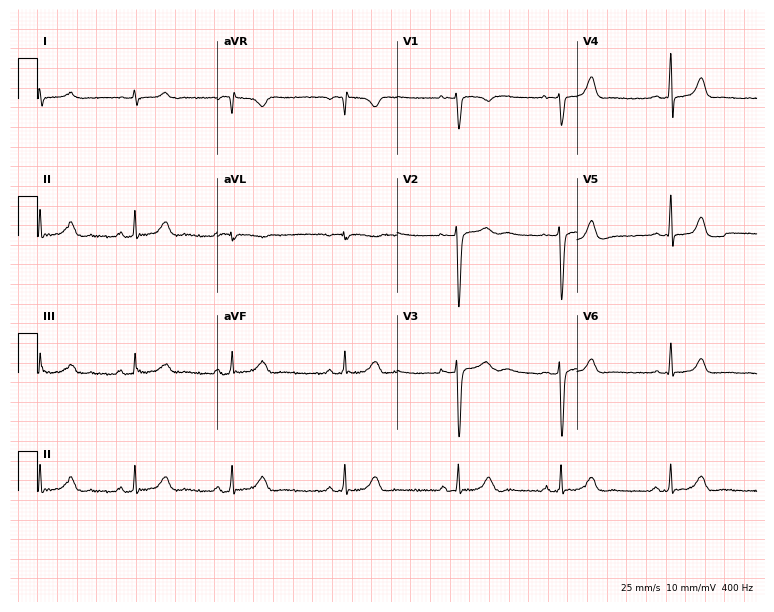
Electrocardiogram (7.3-second recording at 400 Hz), an 18-year-old female. Overall reading on record: normal ECG.